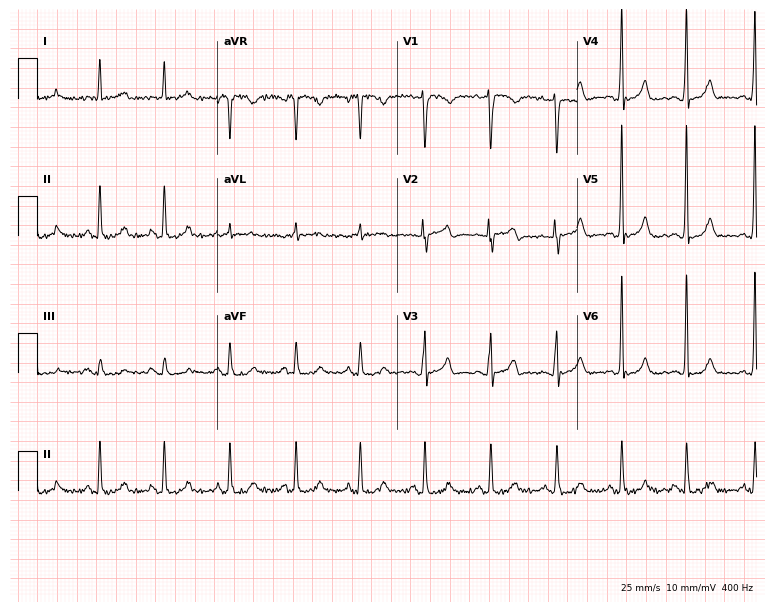
Electrocardiogram (7.3-second recording at 400 Hz), a 68-year-old male patient. Of the six screened findings (first-degree AV block, right bundle branch block (RBBB), left bundle branch block (LBBB), sinus bradycardia, atrial fibrillation (AF), sinus tachycardia), none is recorded.